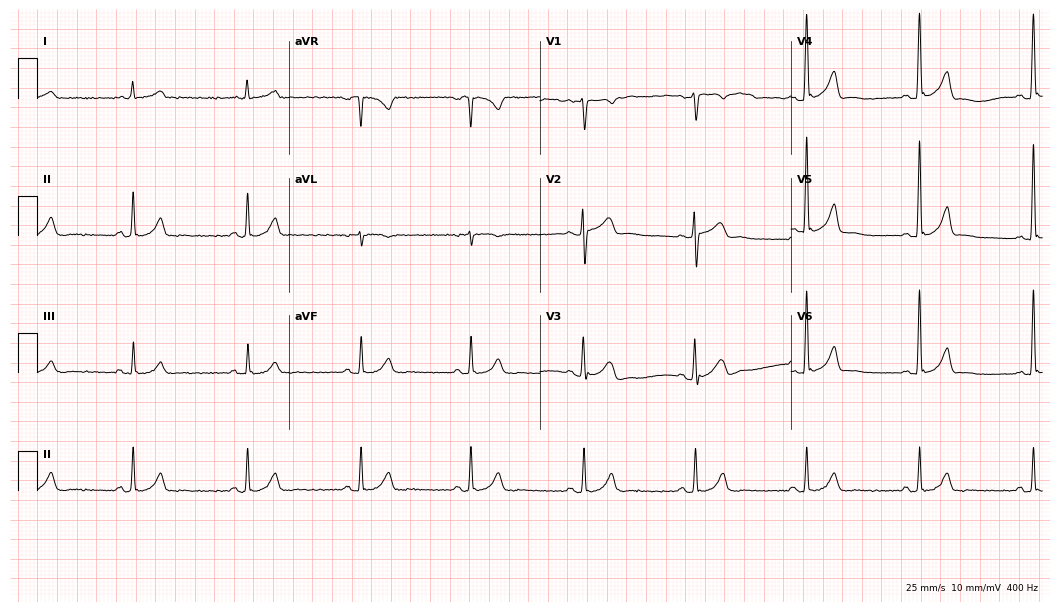
Resting 12-lead electrocardiogram (10.2-second recording at 400 Hz). Patient: a male, 42 years old. None of these six findings is recorded: first-degree AV block, right bundle branch block, left bundle branch block, sinus bradycardia, atrial fibrillation, sinus tachycardia.